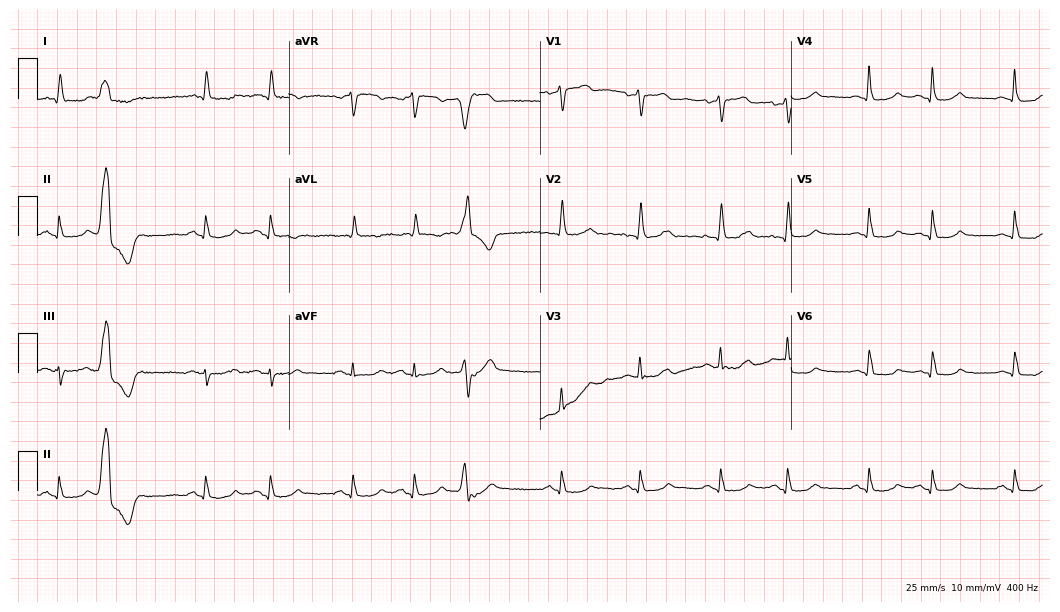
Resting 12-lead electrocardiogram. Patient: a male, 82 years old. None of these six findings is recorded: first-degree AV block, right bundle branch block, left bundle branch block, sinus bradycardia, atrial fibrillation, sinus tachycardia. Findings outside these six are not listed.